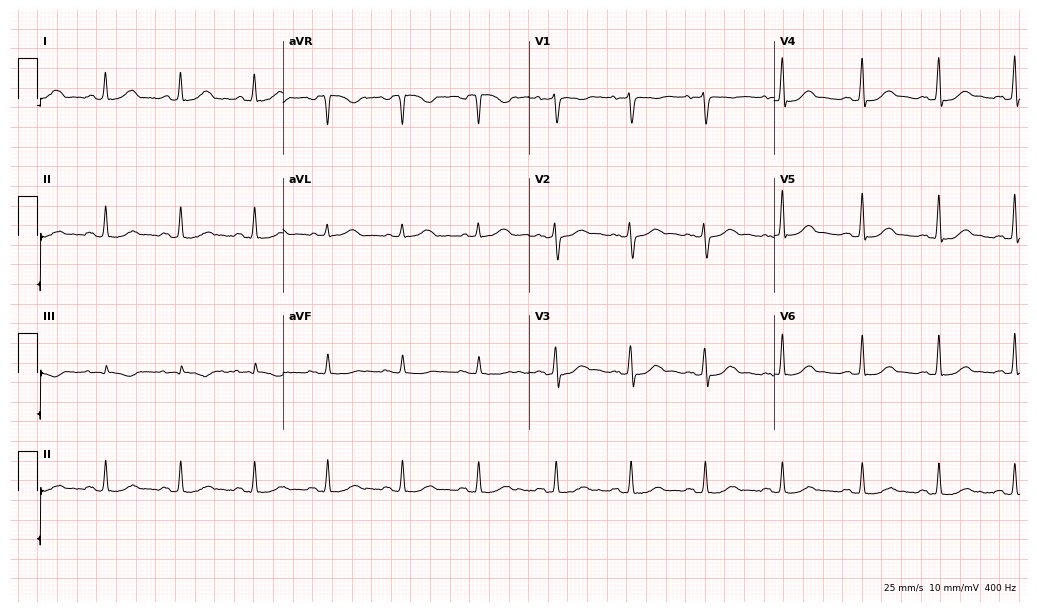
ECG (10-second recording at 400 Hz) — a female patient, 35 years old. Labelled as a normal ECG.